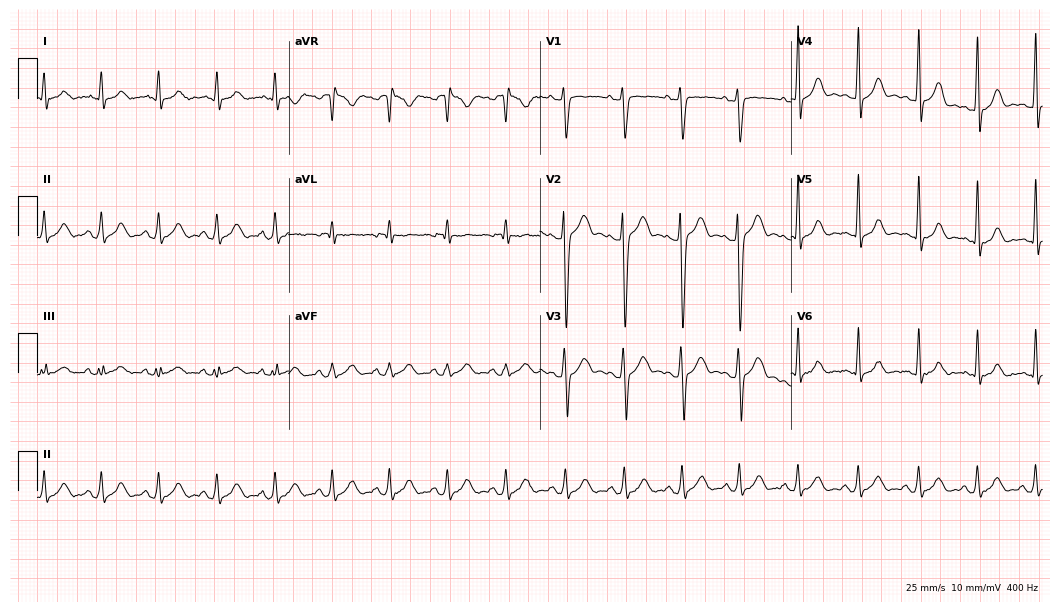
12-lead ECG from a male patient, 20 years old. Recorded interpretation: within normal limits.